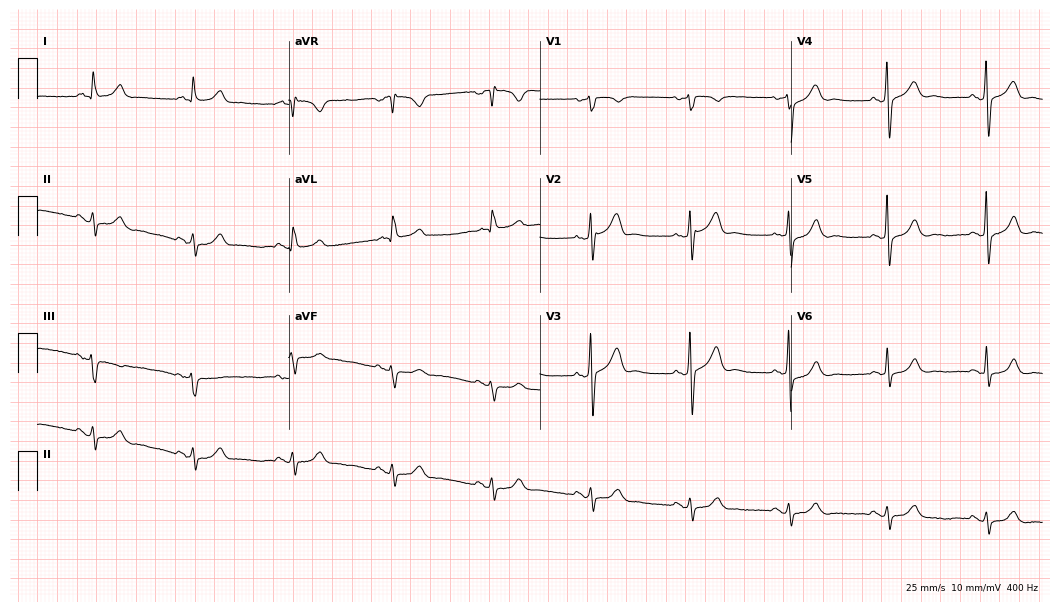
Resting 12-lead electrocardiogram (10.2-second recording at 400 Hz). Patient: a man, 65 years old. None of these six findings is recorded: first-degree AV block, right bundle branch block, left bundle branch block, sinus bradycardia, atrial fibrillation, sinus tachycardia.